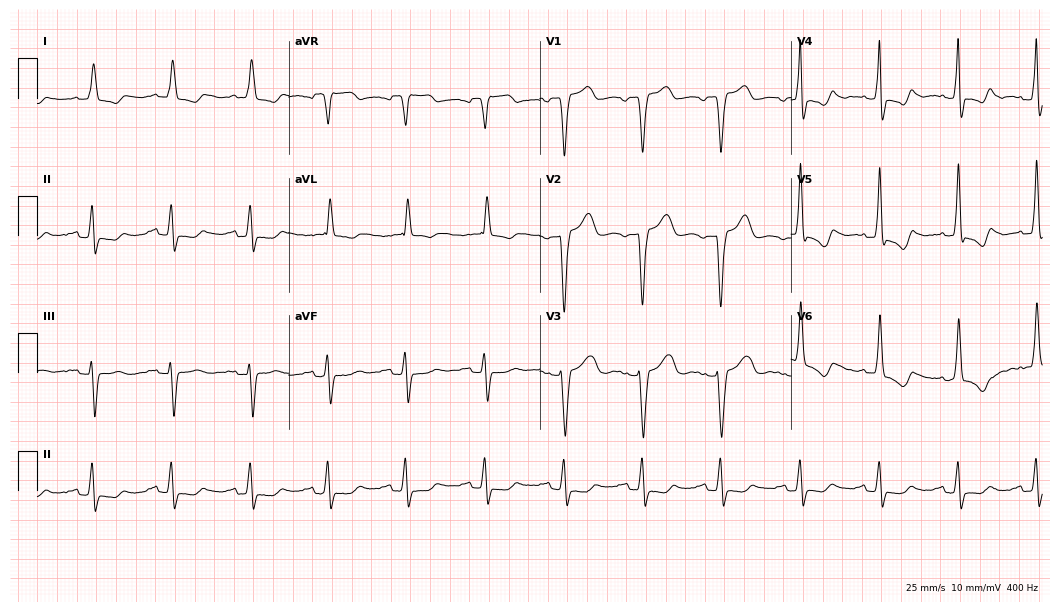
Resting 12-lead electrocardiogram. Patient: a female, 82 years old. None of these six findings is recorded: first-degree AV block, right bundle branch block, left bundle branch block, sinus bradycardia, atrial fibrillation, sinus tachycardia.